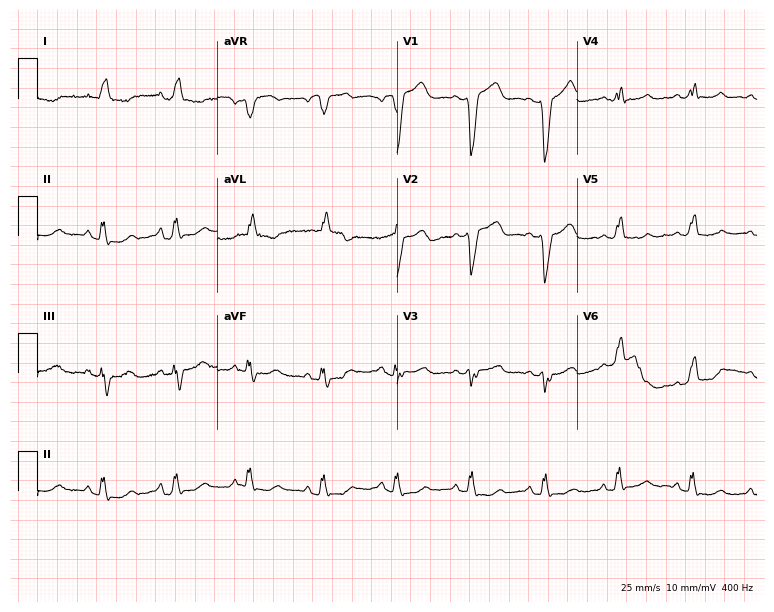
12-lead ECG (7.3-second recording at 400 Hz) from a woman, 68 years old. Screened for six findings — first-degree AV block, right bundle branch block (RBBB), left bundle branch block (LBBB), sinus bradycardia, atrial fibrillation (AF), sinus tachycardia — none is recorded.